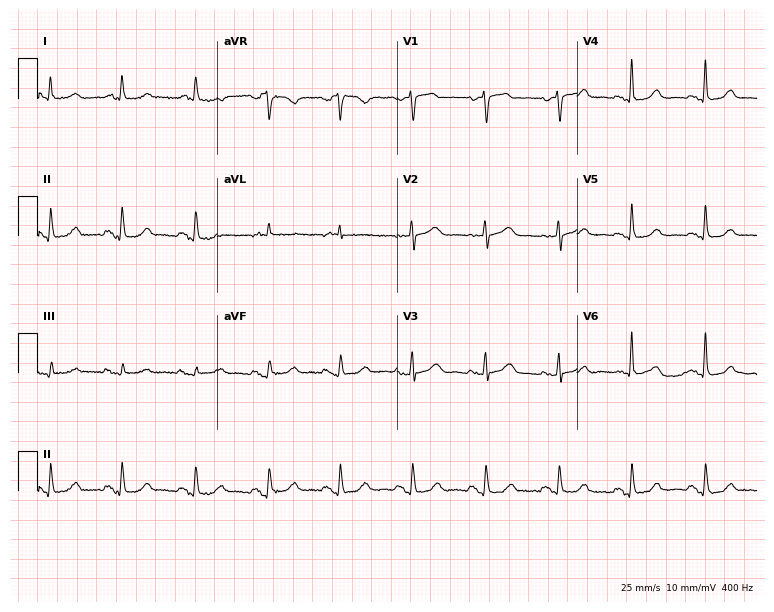
ECG — a female, 74 years old. Labelled as a normal ECG.